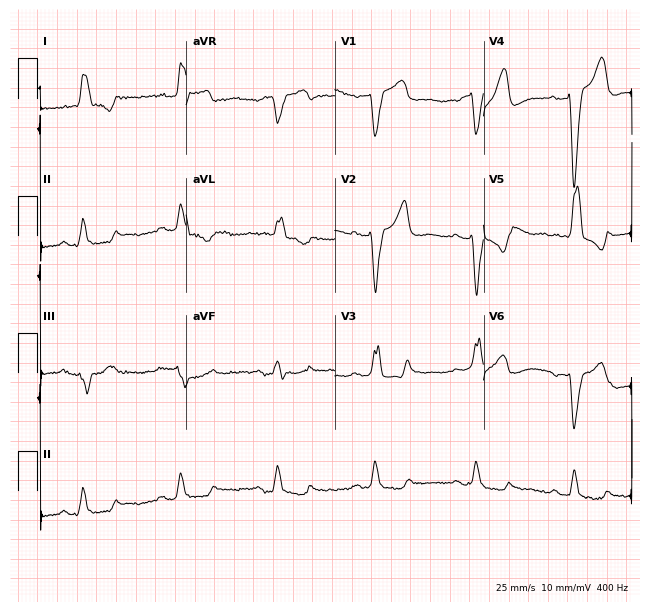
Electrocardiogram, a man, 81 years old. Interpretation includes left bundle branch block (LBBB).